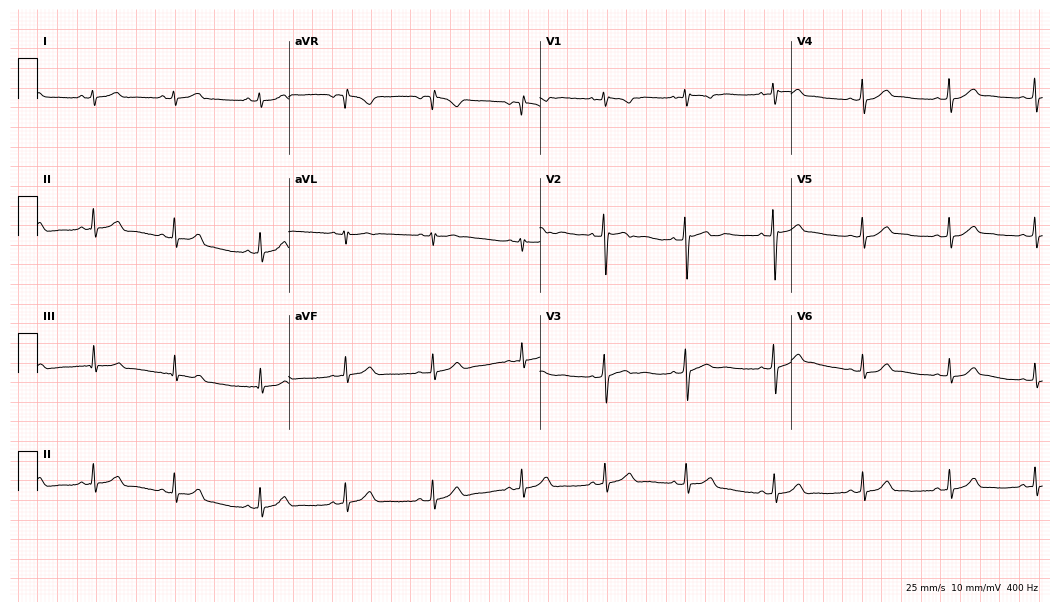
ECG (10.2-second recording at 400 Hz) — a 20-year-old female. Screened for six findings — first-degree AV block, right bundle branch block, left bundle branch block, sinus bradycardia, atrial fibrillation, sinus tachycardia — none is recorded. Findings outside these six are not listed.